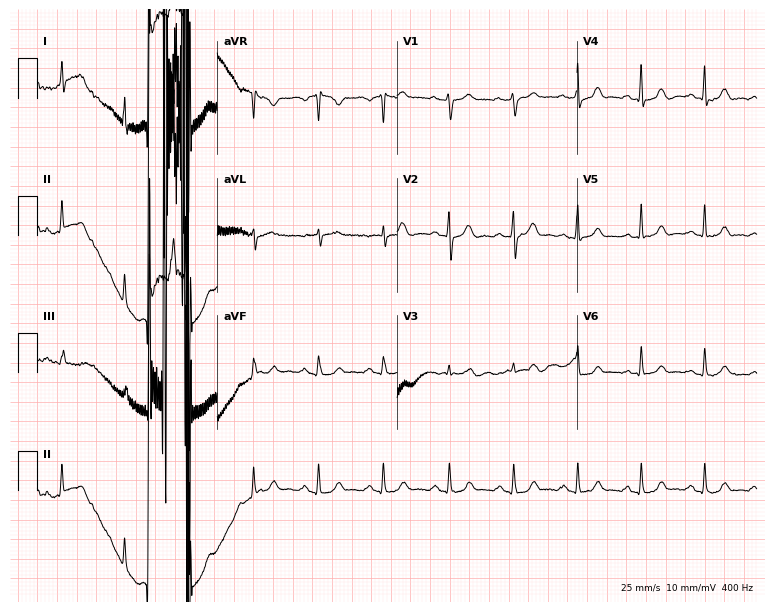
Electrocardiogram, a male patient, 41 years old. Overall reading on record: normal ECG.